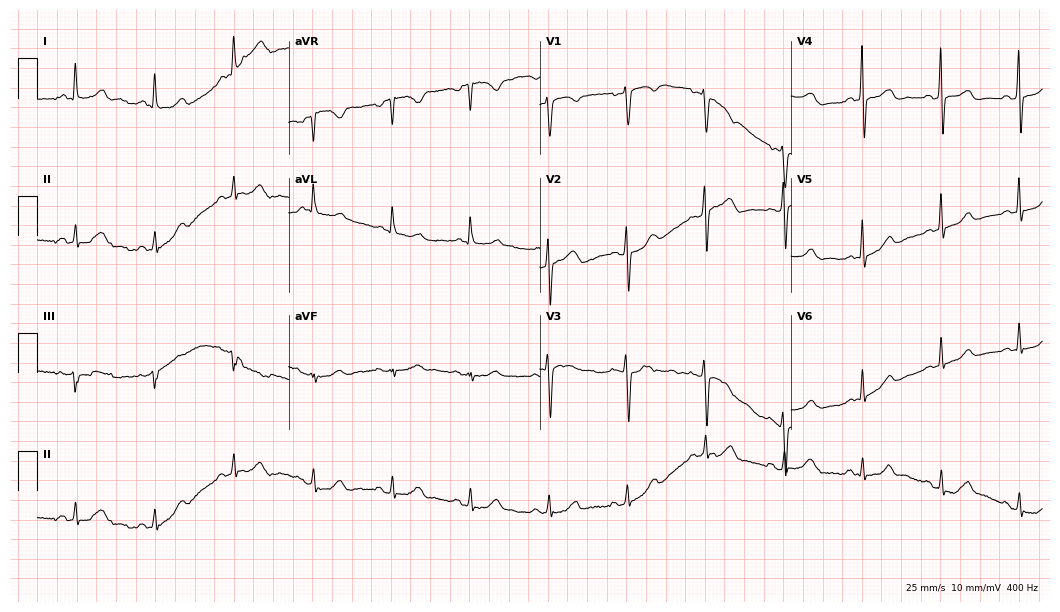
Standard 12-lead ECG recorded from a 56-year-old female (10.2-second recording at 400 Hz). Read as a normal ECG.